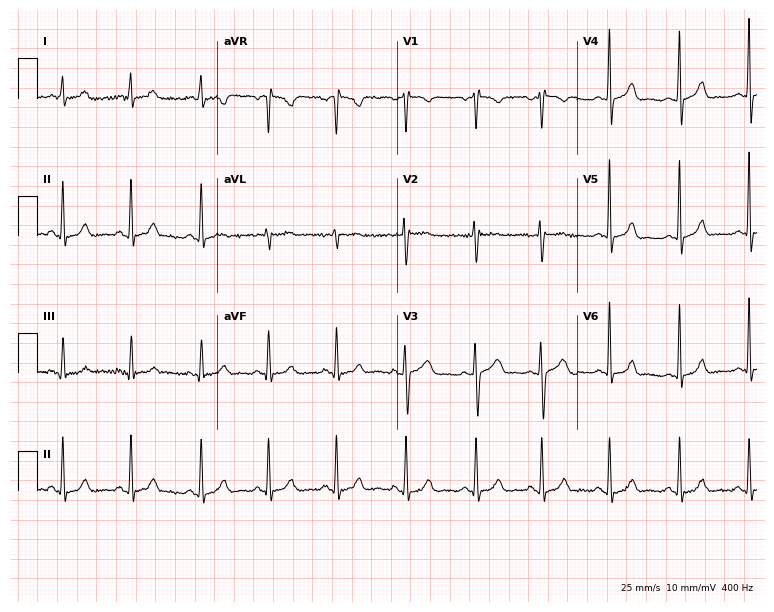
Standard 12-lead ECG recorded from a woman, 17 years old (7.3-second recording at 400 Hz). Read as a normal ECG.